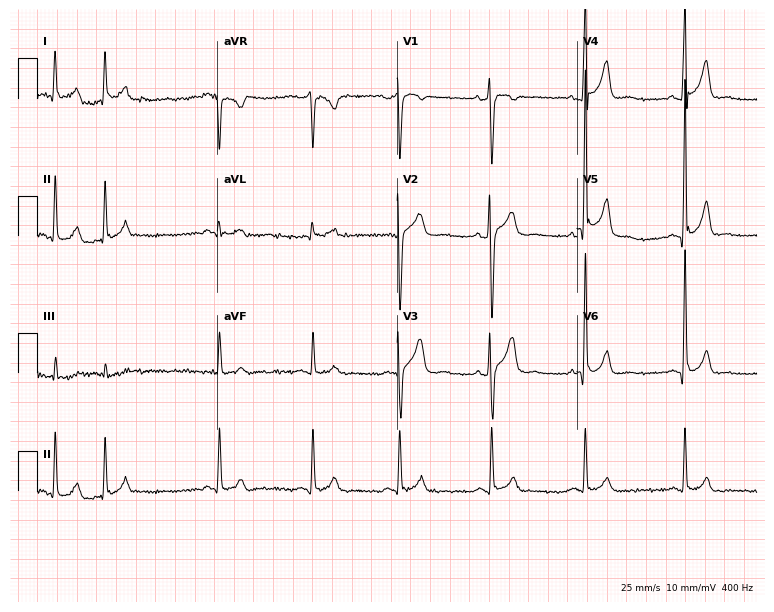
12-lead ECG from a male patient, 25 years old (7.3-second recording at 400 Hz). No first-degree AV block, right bundle branch block, left bundle branch block, sinus bradycardia, atrial fibrillation or sinus tachycardia recorded for this tracing.